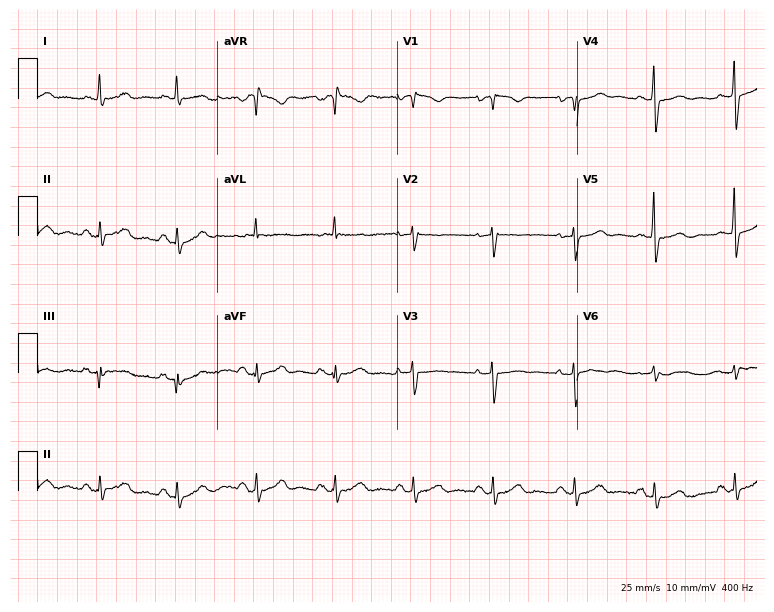
12-lead ECG from a woman, 74 years old. Labelled as a normal ECG.